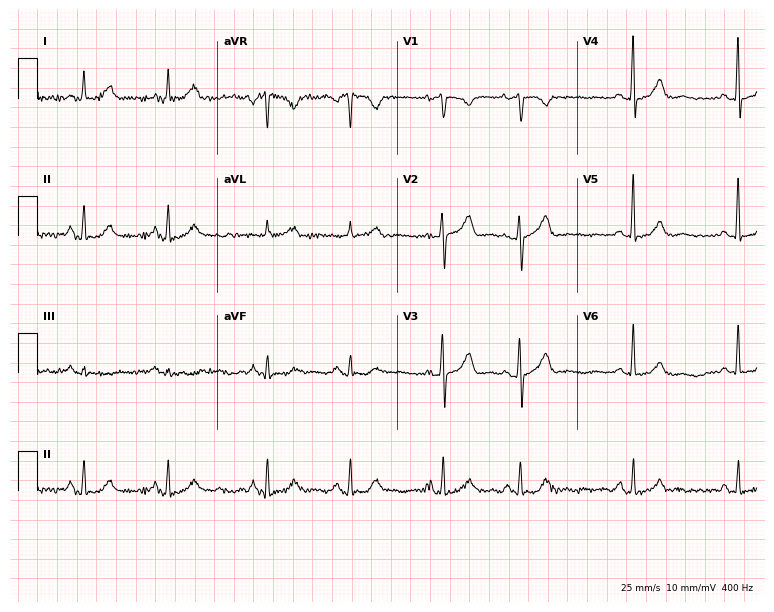
12-lead ECG from a female patient, 60 years old (7.3-second recording at 400 Hz). No first-degree AV block, right bundle branch block, left bundle branch block, sinus bradycardia, atrial fibrillation or sinus tachycardia recorded for this tracing. Only these six findings were labelled.